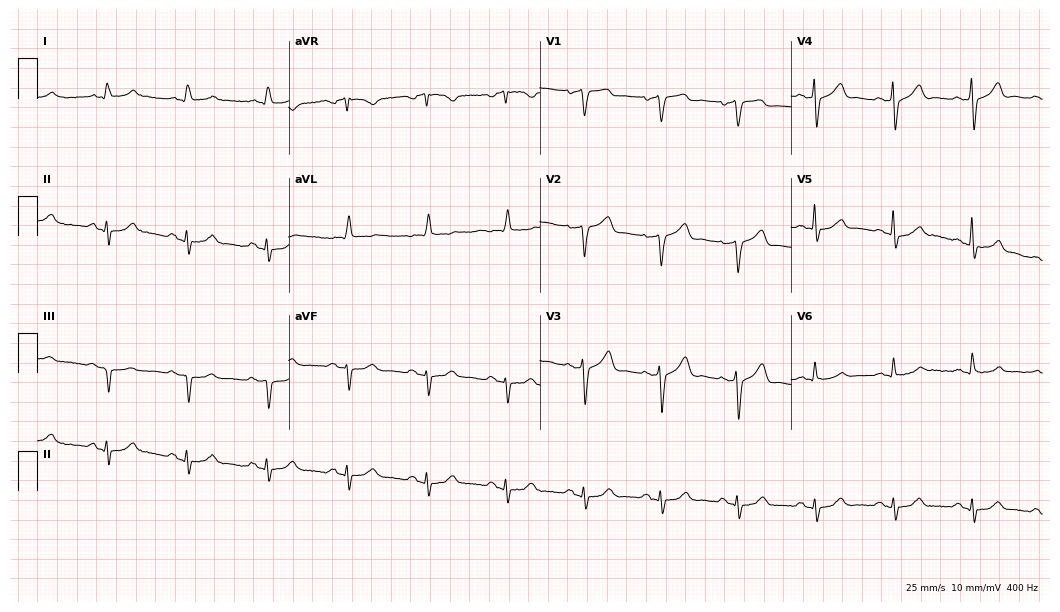
Standard 12-lead ECG recorded from a male patient, 75 years old (10.2-second recording at 400 Hz). None of these six findings is recorded: first-degree AV block, right bundle branch block, left bundle branch block, sinus bradycardia, atrial fibrillation, sinus tachycardia.